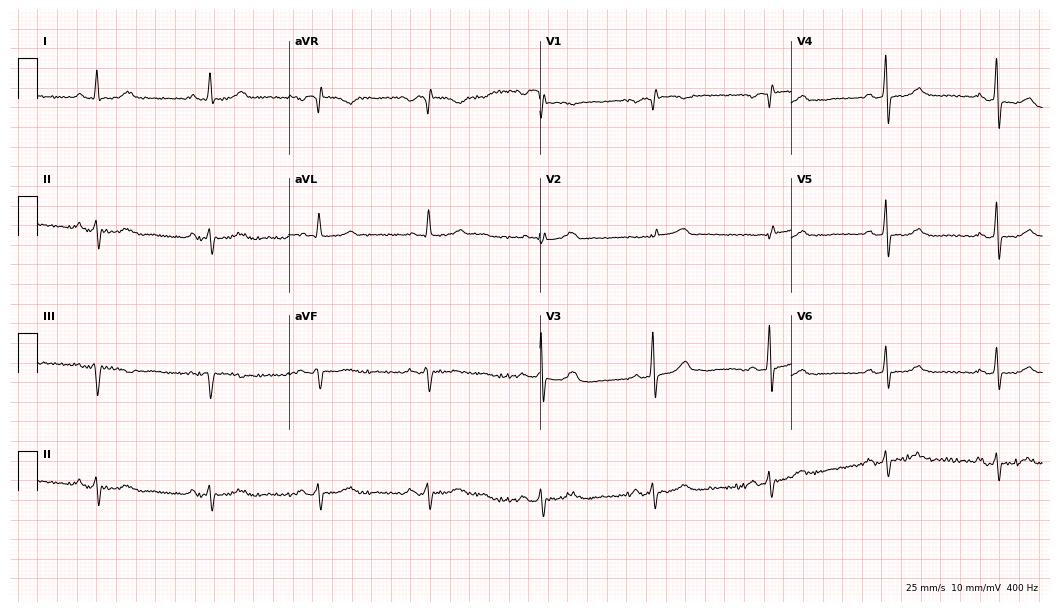
Standard 12-lead ECG recorded from a 63-year-old female patient (10.2-second recording at 400 Hz). None of these six findings is recorded: first-degree AV block, right bundle branch block, left bundle branch block, sinus bradycardia, atrial fibrillation, sinus tachycardia. Other findings, if any, are not listed.